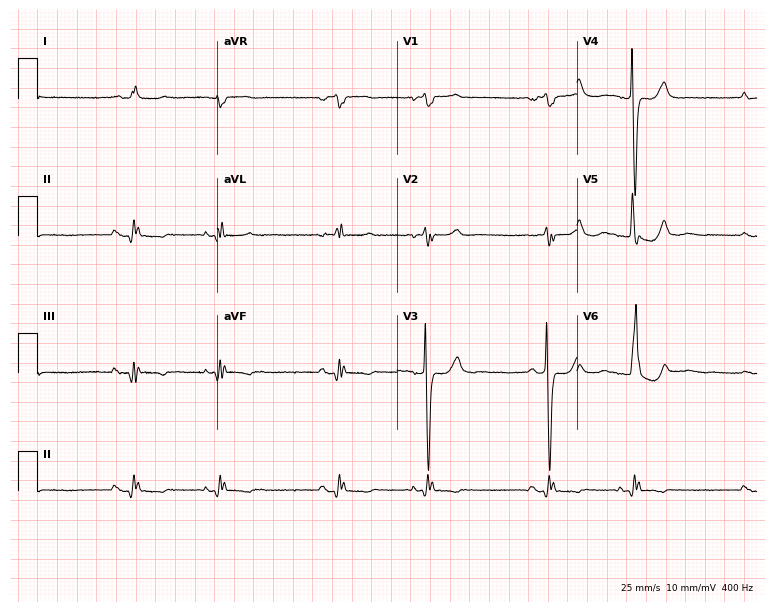
Electrocardiogram, a man, 68 years old. Interpretation includes left bundle branch block (LBBB).